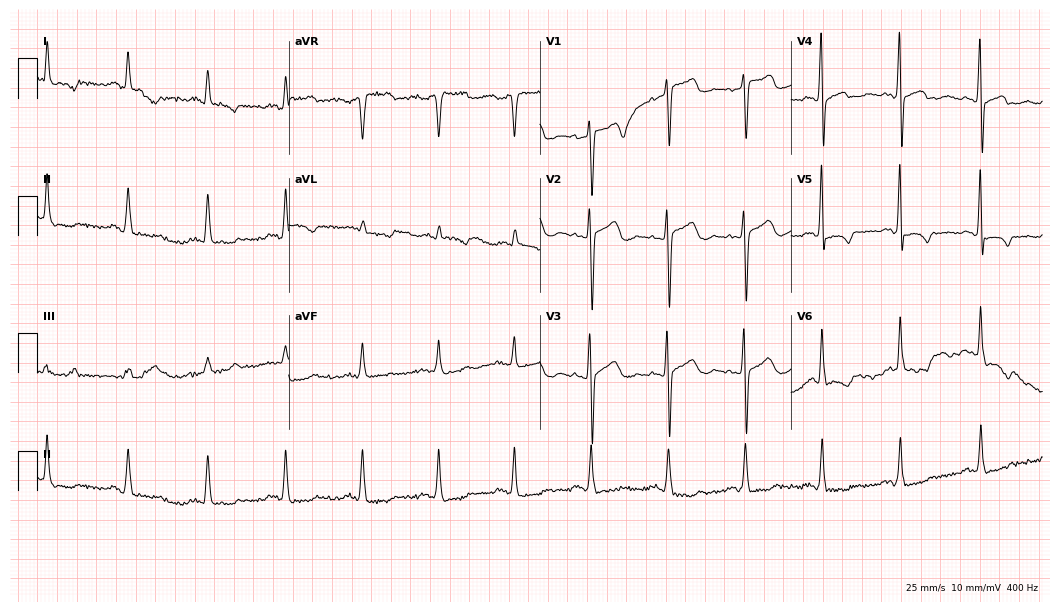
ECG (10.2-second recording at 400 Hz) — a 53-year-old female patient. Screened for six findings — first-degree AV block, right bundle branch block, left bundle branch block, sinus bradycardia, atrial fibrillation, sinus tachycardia — none is recorded.